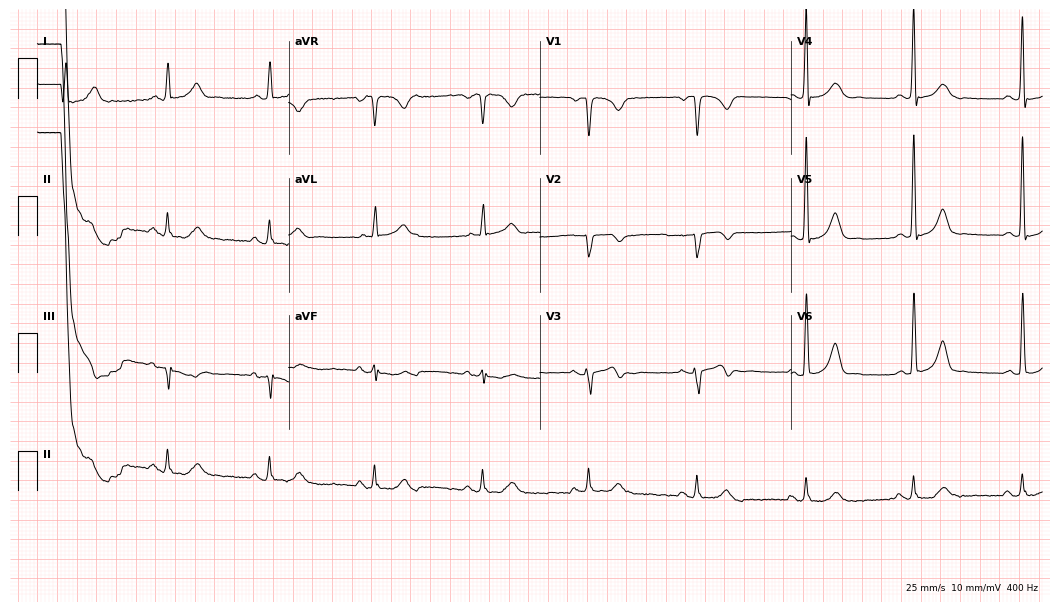
Standard 12-lead ECG recorded from a 58-year-old male (10.2-second recording at 400 Hz). None of these six findings is recorded: first-degree AV block, right bundle branch block, left bundle branch block, sinus bradycardia, atrial fibrillation, sinus tachycardia.